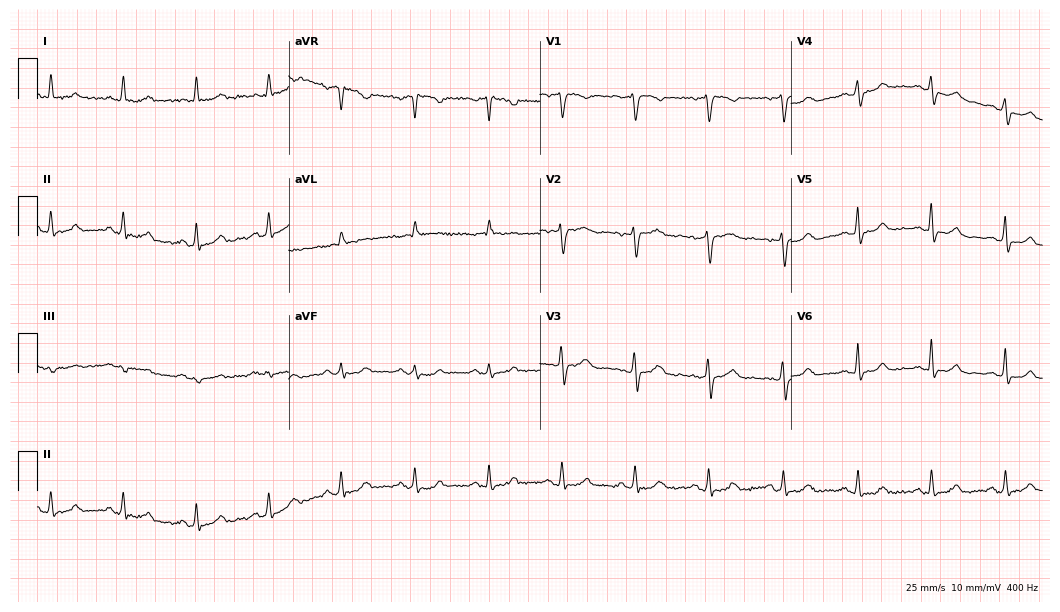
12-lead ECG from a female patient, 56 years old (10.2-second recording at 400 Hz). Recorded interpretation: within normal limits.